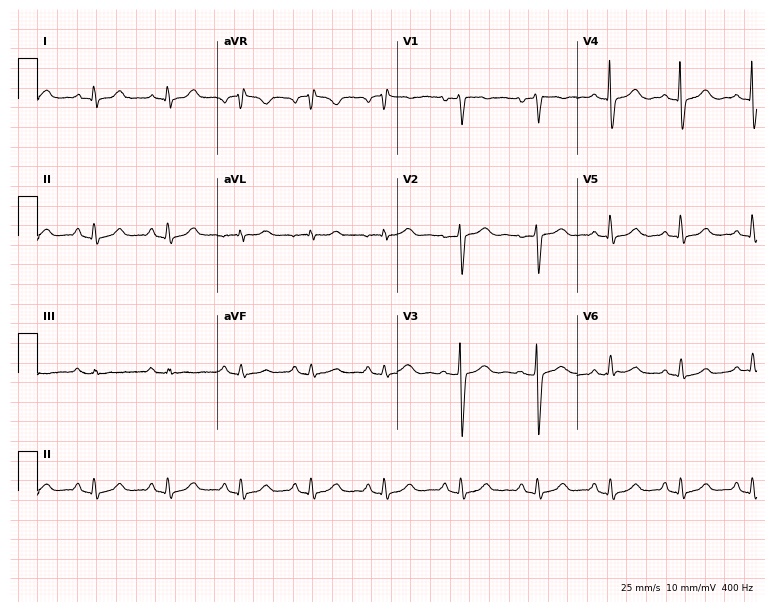
ECG (7.3-second recording at 400 Hz) — a 58-year-old female patient. Labelled as a normal ECG.